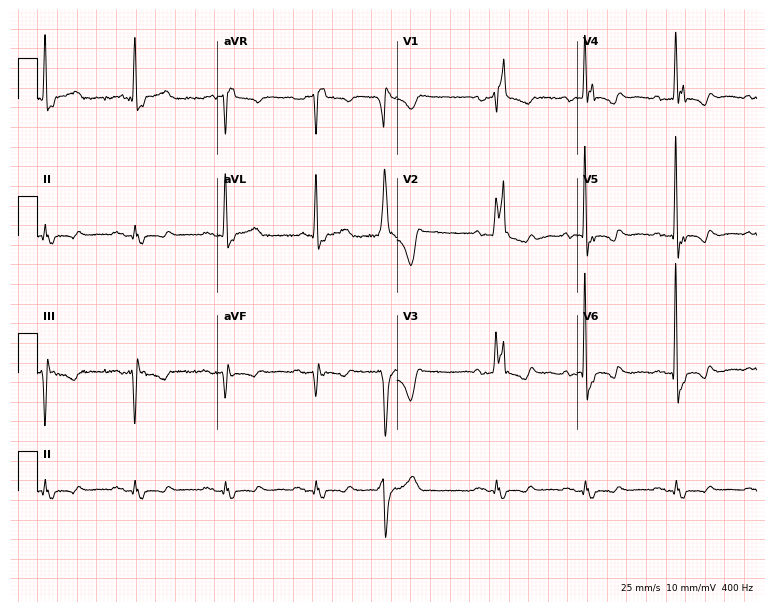
Resting 12-lead electrocardiogram. Patient: an 83-year-old male. None of these six findings is recorded: first-degree AV block, right bundle branch block (RBBB), left bundle branch block (LBBB), sinus bradycardia, atrial fibrillation (AF), sinus tachycardia.